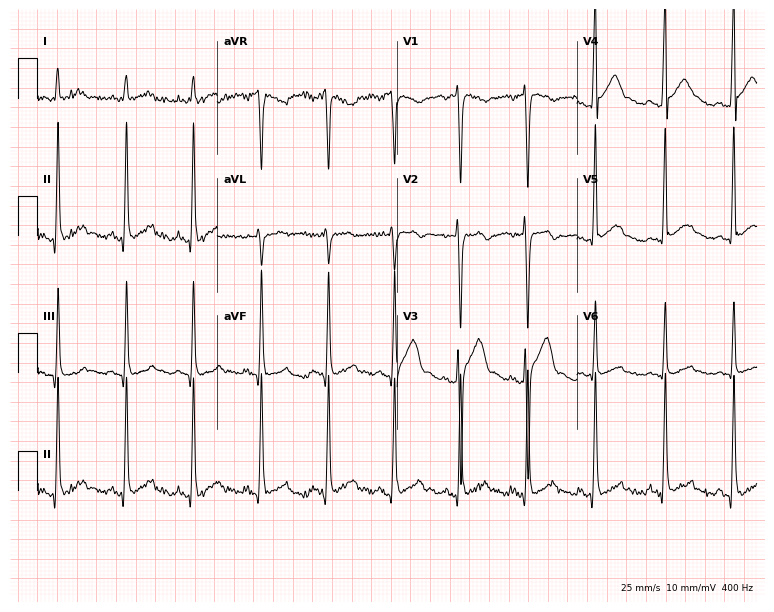
Electrocardiogram, a man, 26 years old. Overall reading on record: normal ECG.